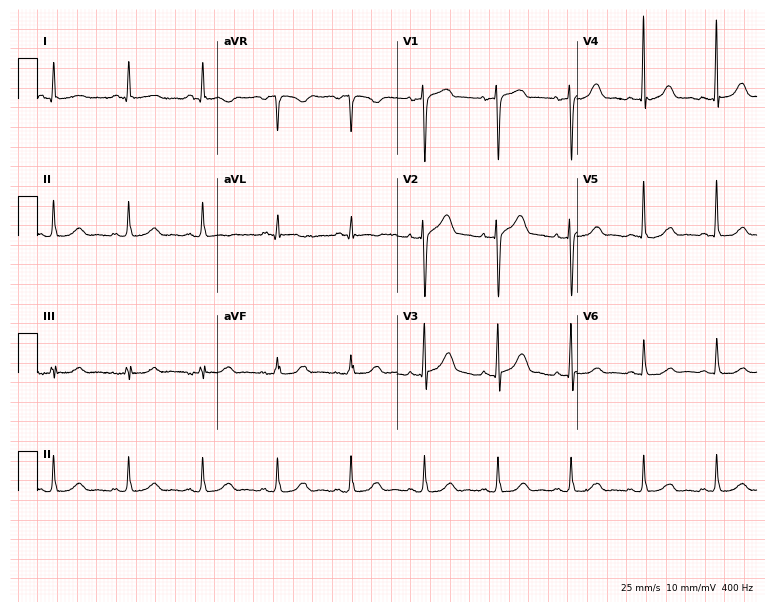
Resting 12-lead electrocardiogram. Patient: an 83-year-old woman. None of these six findings is recorded: first-degree AV block, right bundle branch block, left bundle branch block, sinus bradycardia, atrial fibrillation, sinus tachycardia.